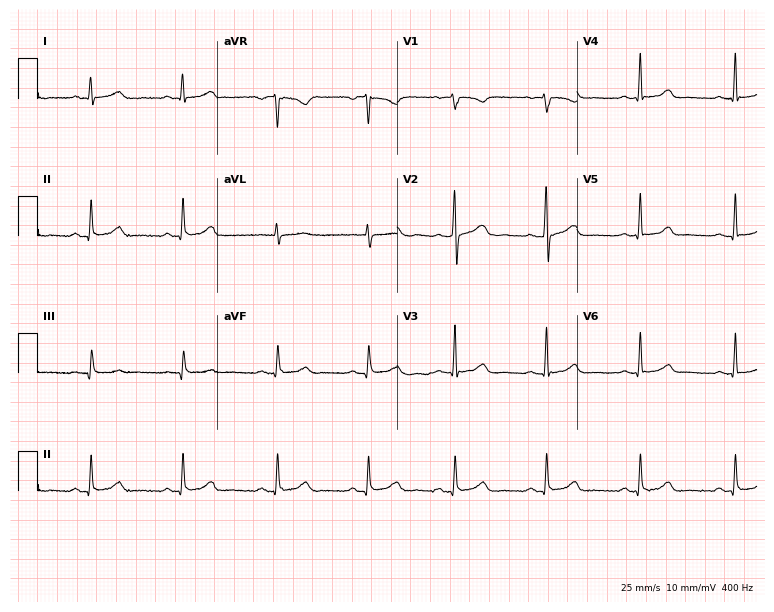
Electrocardiogram, a female, 43 years old. Overall reading on record: normal ECG.